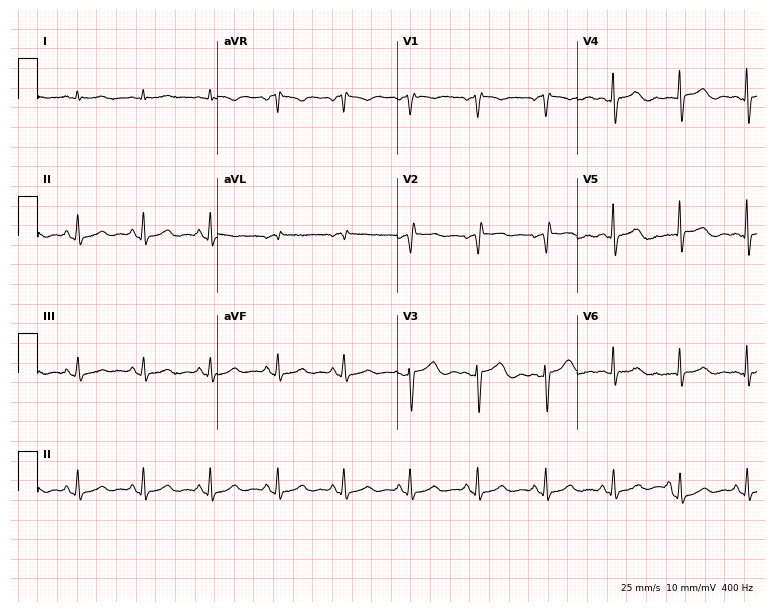
Resting 12-lead electrocardiogram (7.3-second recording at 400 Hz). Patient: a female, 58 years old. None of these six findings is recorded: first-degree AV block, right bundle branch block, left bundle branch block, sinus bradycardia, atrial fibrillation, sinus tachycardia. Only these six findings were labelled.